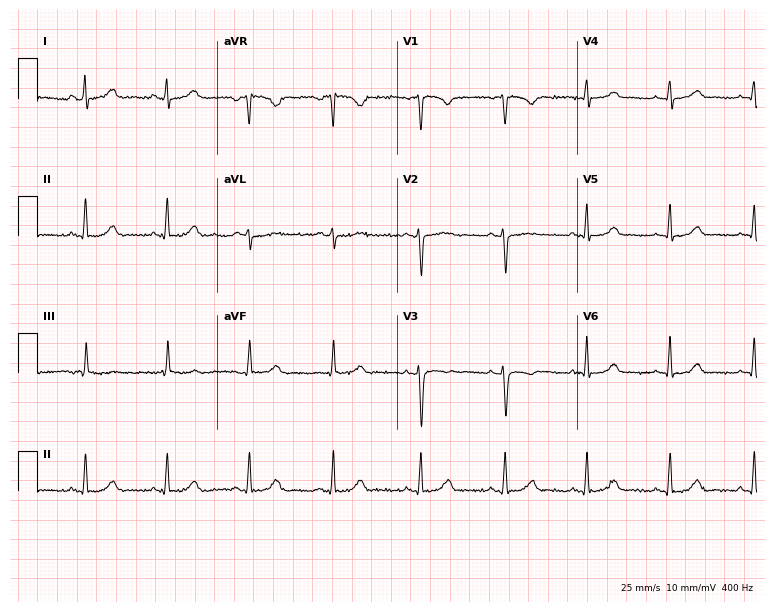
Electrocardiogram (7.3-second recording at 400 Hz), a 41-year-old female patient. Overall reading on record: normal ECG.